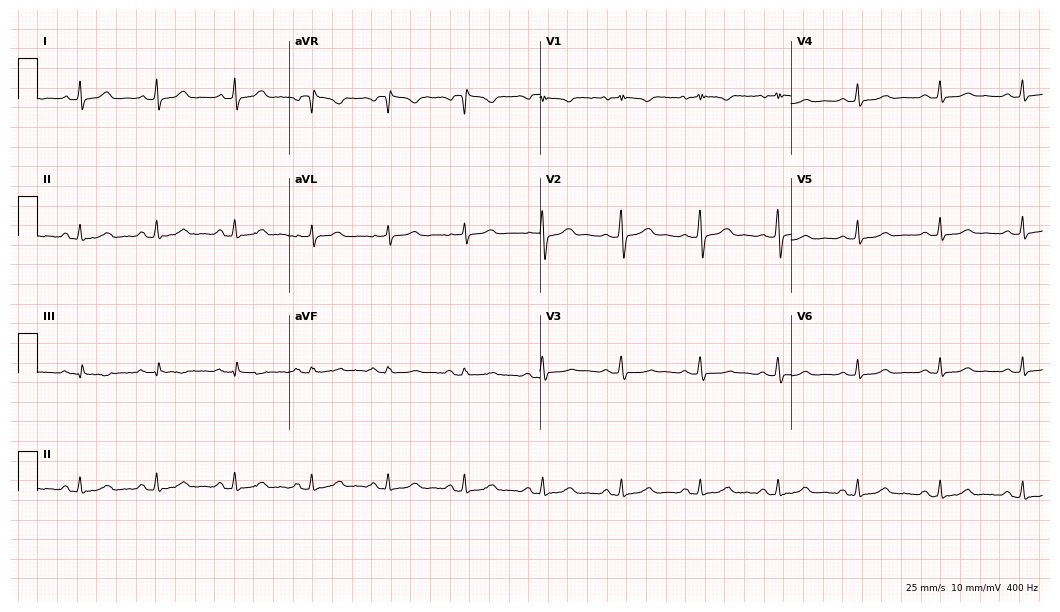
12-lead ECG from a female patient, 35 years old. Recorded interpretation: within normal limits.